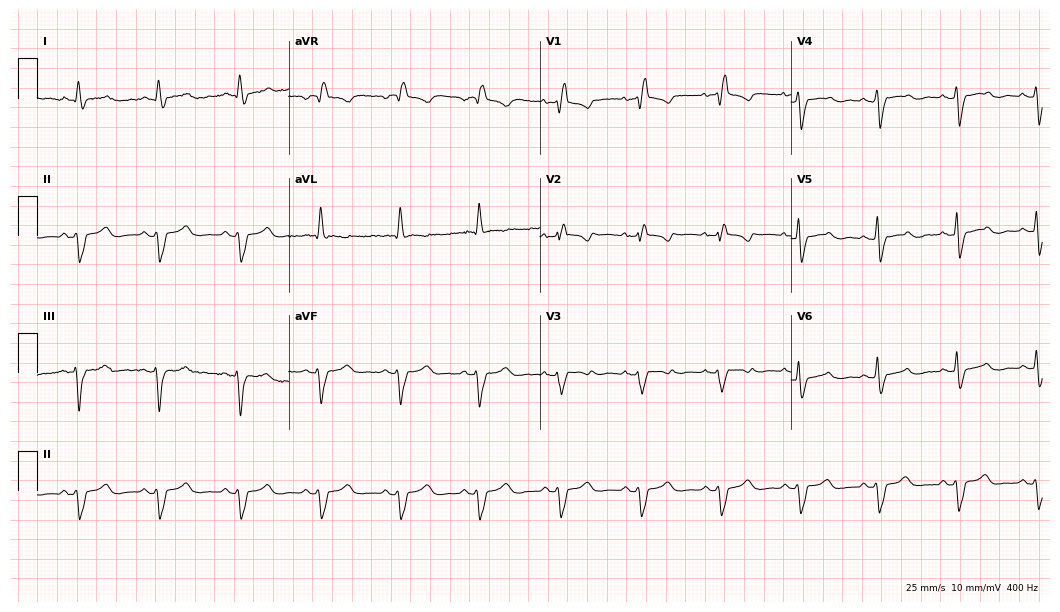
ECG (10.2-second recording at 400 Hz) — a 39-year-old woman. Findings include right bundle branch block (RBBB).